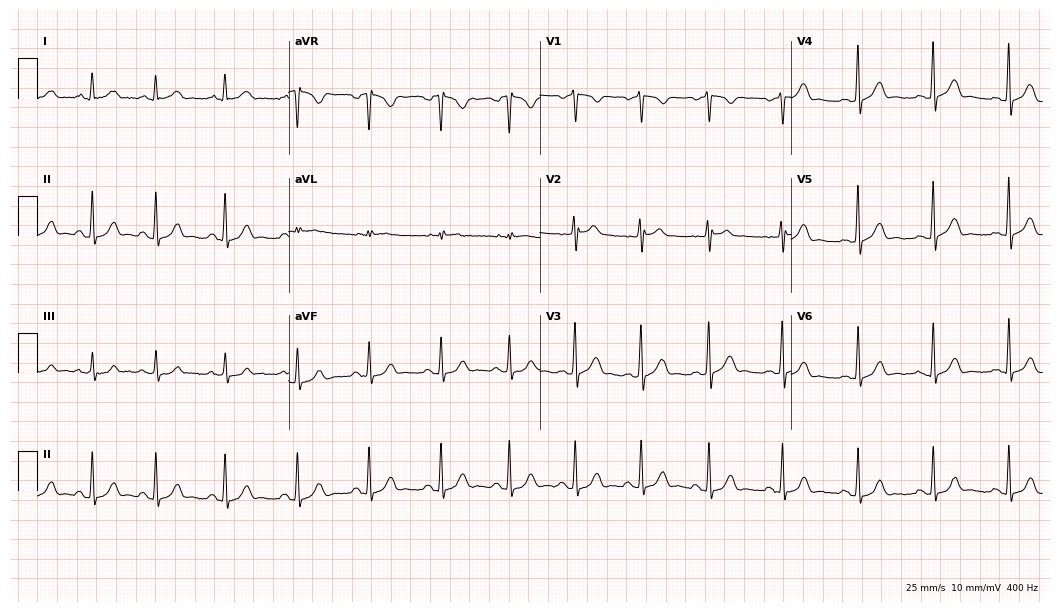
Resting 12-lead electrocardiogram. Patient: a 34-year-old male. Read as a normal ECG.